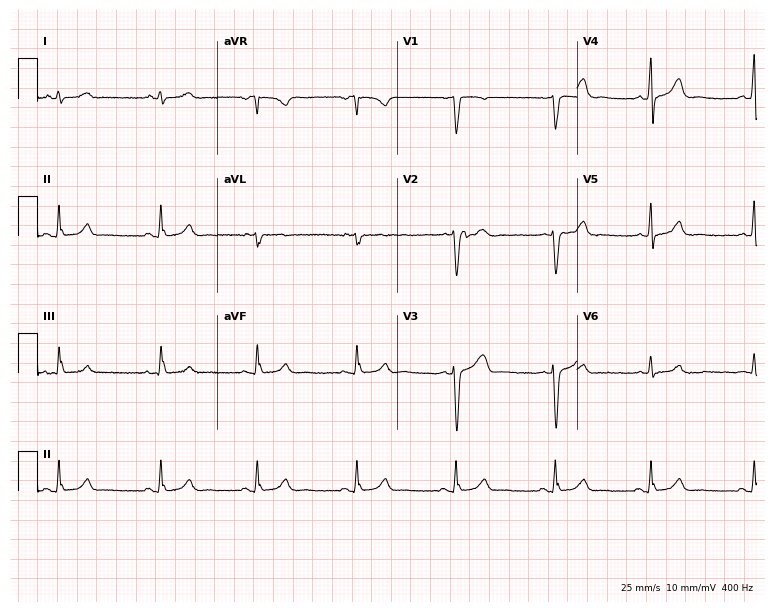
Electrocardiogram (7.3-second recording at 400 Hz), a 37-year-old woman. Overall reading on record: normal ECG.